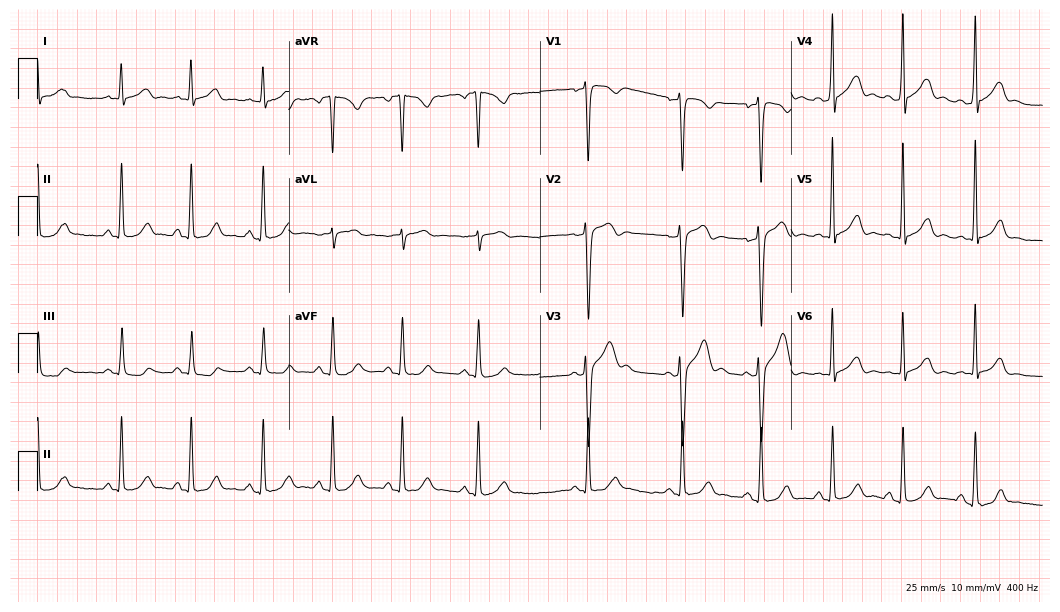
Resting 12-lead electrocardiogram. Patient: a male, 31 years old. None of these six findings is recorded: first-degree AV block, right bundle branch block, left bundle branch block, sinus bradycardia, atrial fibrillation, sinus tachycardia.